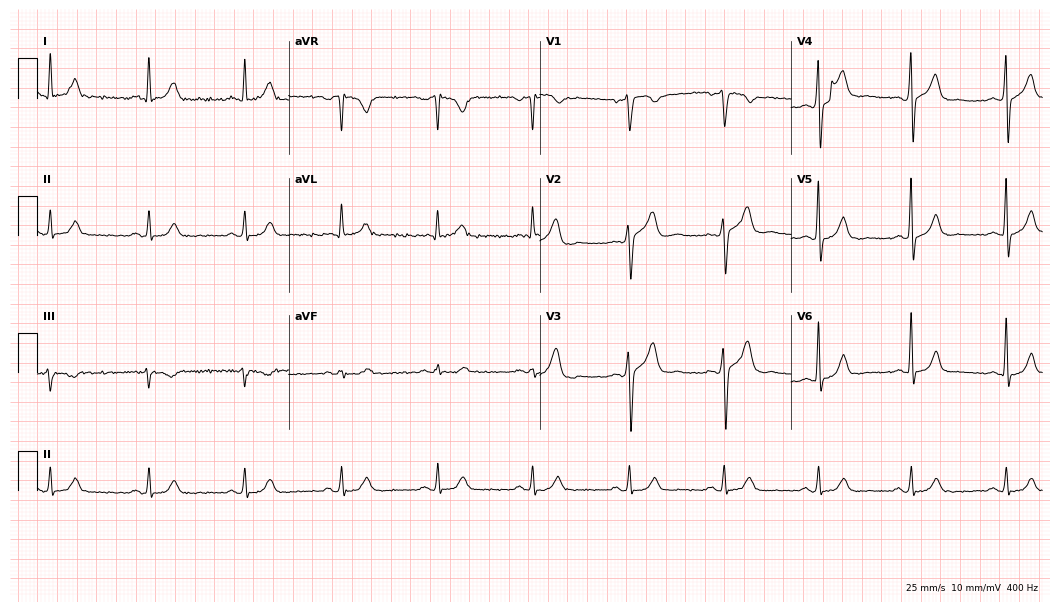
Resting 12-lead electrocardiogram (10.2-second recording at 400 Hz). Patient: a 51-year-old male. Read as a normal ECG.